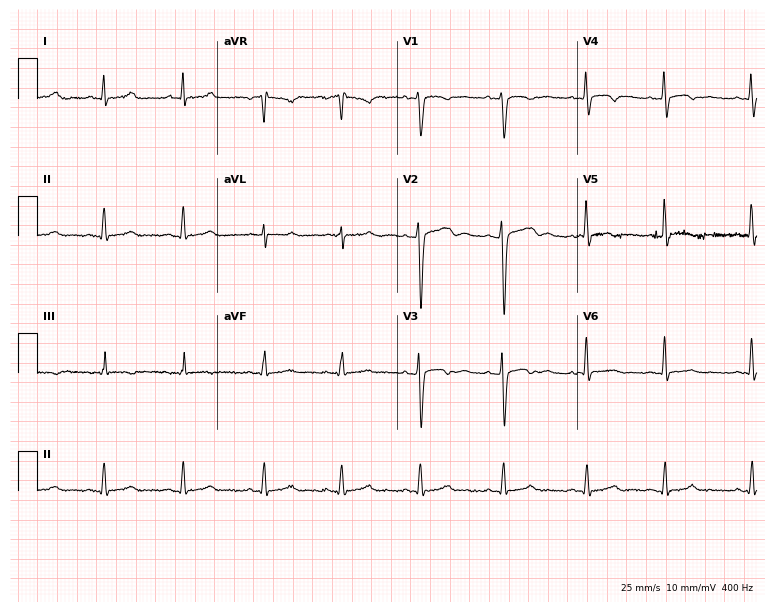
ECG (7.3-second recording at 400 Hz) — a female, 19 years old. Screened for six findings — first-degree AV block, right bundle branch block, left bundle branch block, sinus bradycardia, atrial fibrillation, sinus tachycardia — none is recorded.